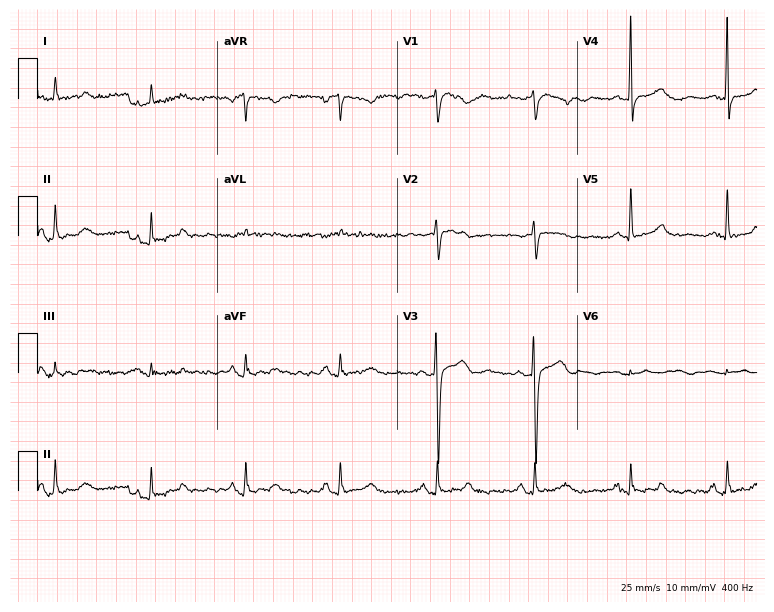
Standard 12-lead ECG recorded from a 50-year-old female (7.3-second recording at 400 Hz). None of these six findings is recorded: first-degree AV block, right bundle branch block, left bundle branch block, sinus bradycardia, atrial fibrillation, sinus tachycardia. Findings outside these six are not listed.